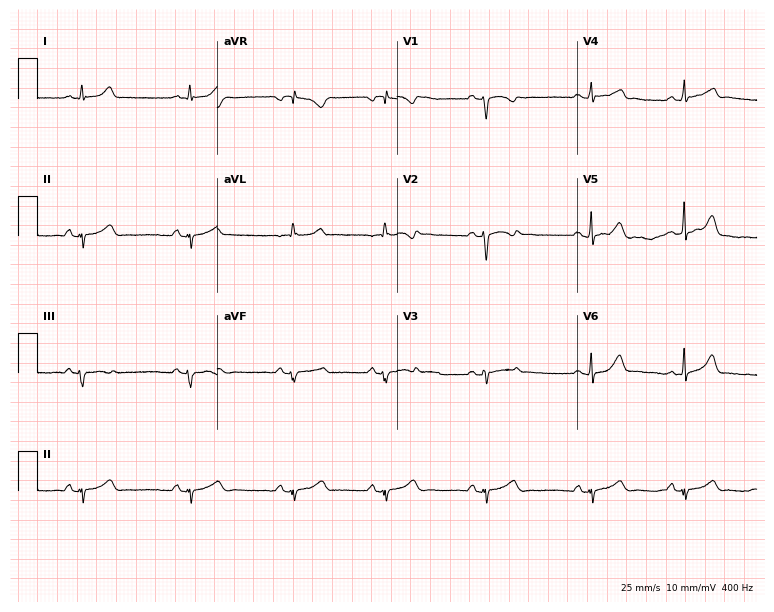
12-lead ECG from a female patient, 22 years old (7.3-second recording at 400 Hz). No first-degree AV block, right bundle branch block, left bundle branch block, sinus bradycardia, atrial fibrillation or sinus tachycardia recorded for this tracing.